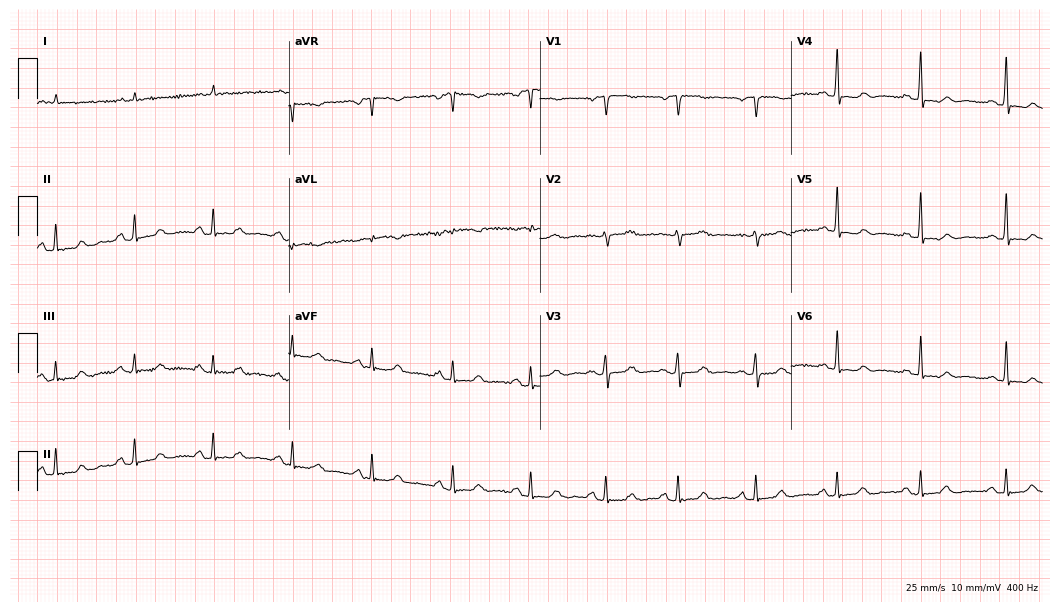
Electrocardiogram, a female patient, 52 years old. Of the six screened findings (first-degree AV block, right bundle branch block, left bundle branch block, sinus bradycardia, atrial fibrillation, sinus tachycardia), none is recorded.